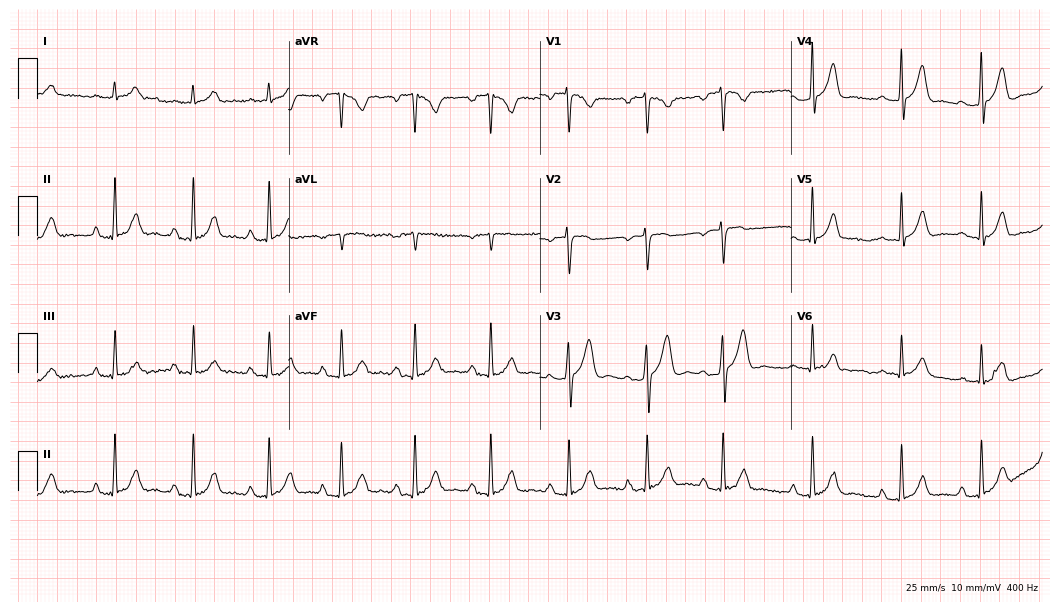
Electrocardiogram, a 39-year-old male patient. Overall reading on record: normal ECG.